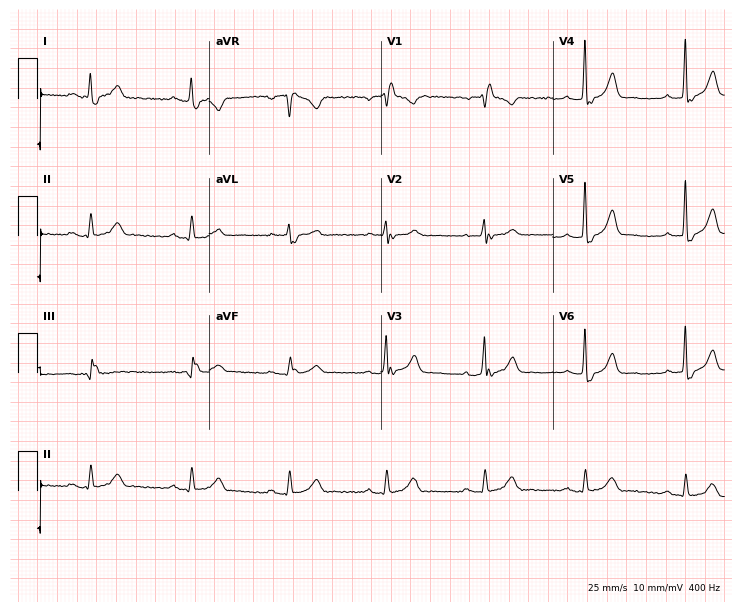
Standard 12-lead ECG recorded from a 67-year-old male (7-second recording at 400 Hz). The tracing shows right bundle branch block.